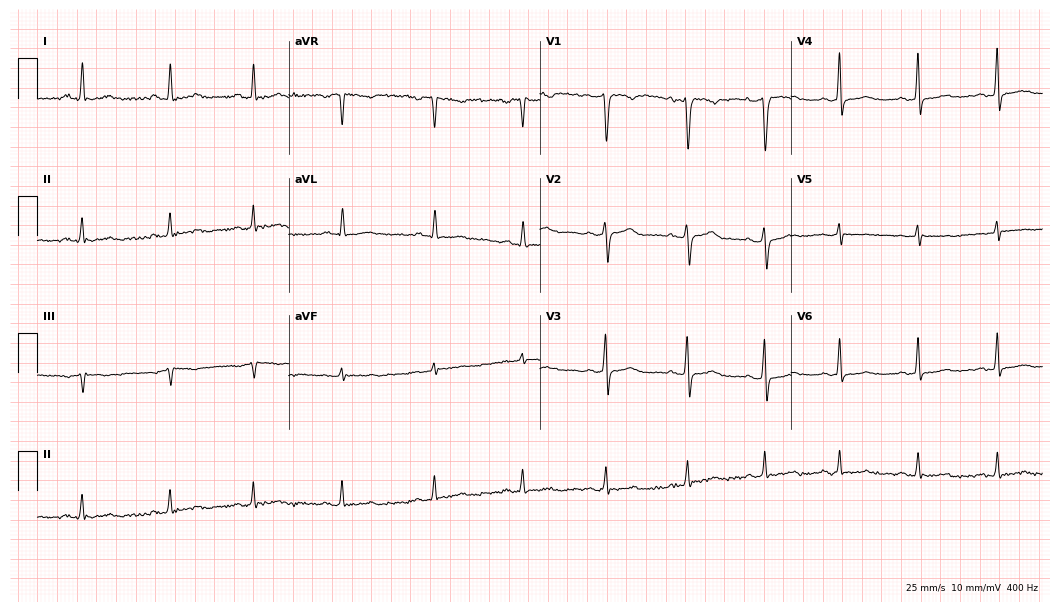
Standard 12-lead ECG recorded from a male patient, 44 years old (10.2-second recording at 400 Hz). Read as a normal ECG.